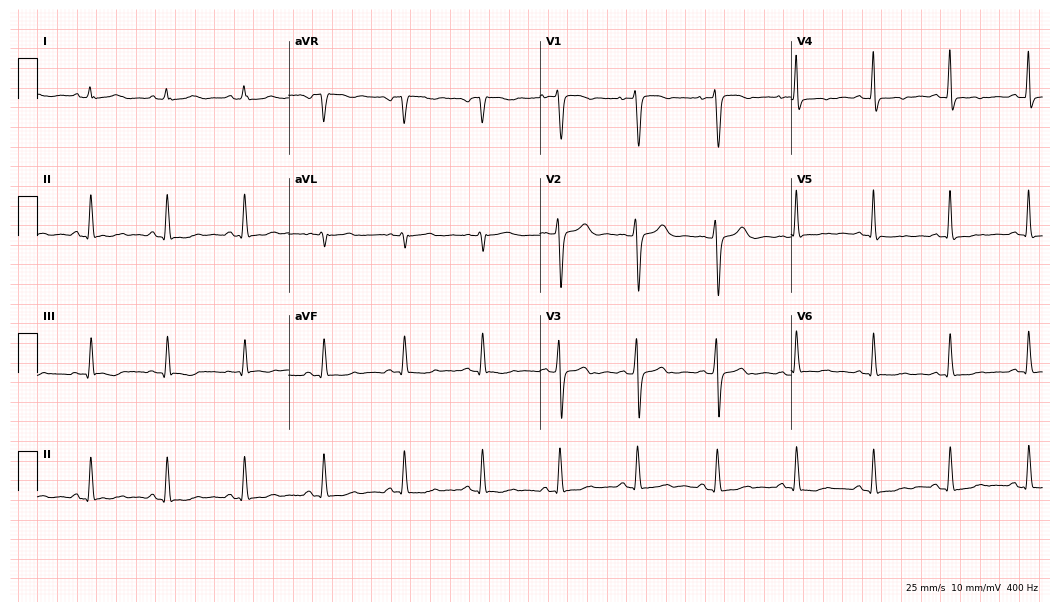
Resting 12-lead electrocardiogram (10.2-second recording at 400 Hz). Patient: a female, 50 years old. None of these six findings is recorded: first-degree AV block, right bundle branch block, left bundle branch block, sinus bradycardia, atrial fibrillation, sinus tachycardia.